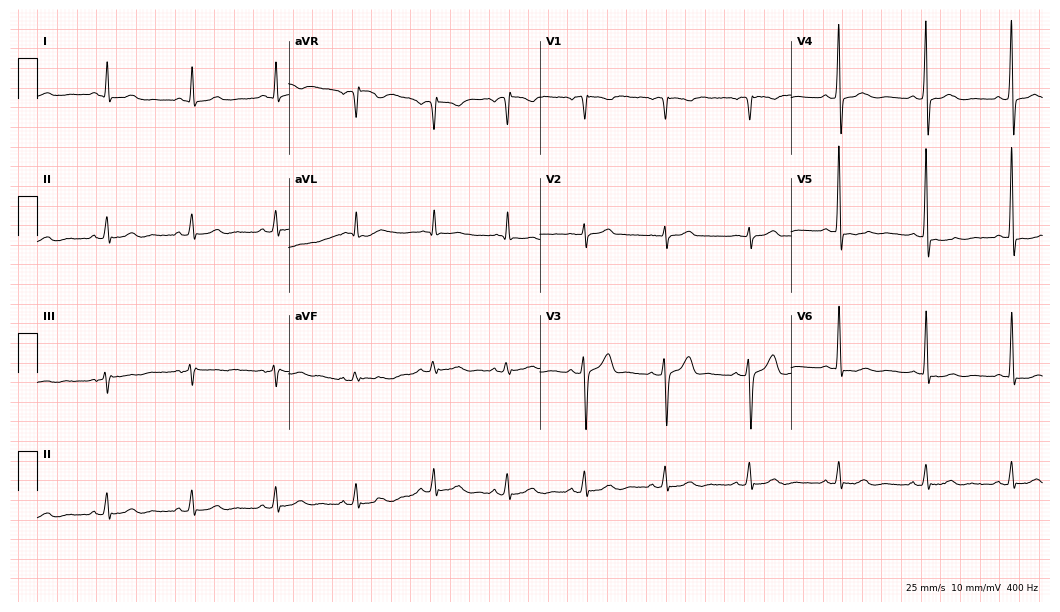
ECG (10.2-second recording at 400 Hz) — a male, 50 years old. Labelled as a normal ECG.